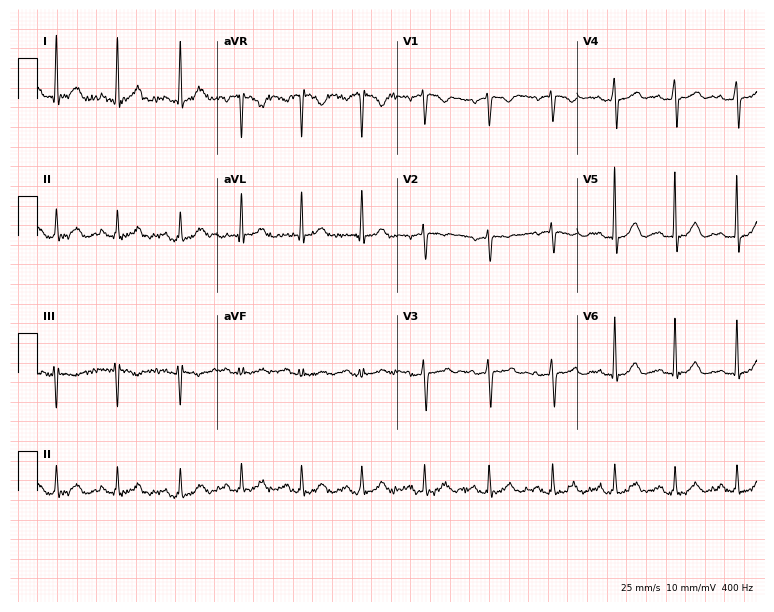
12-lead ECG from a woman, 54 years old. Screened for six findings — first-degree AV block, right bundle branch block (RBBB), left bundle branch block (LBBB), sinus bradycardia, atrial fibrillation (AF), sinus tachycardia — none is recorded. Findings outside these six are not listed.